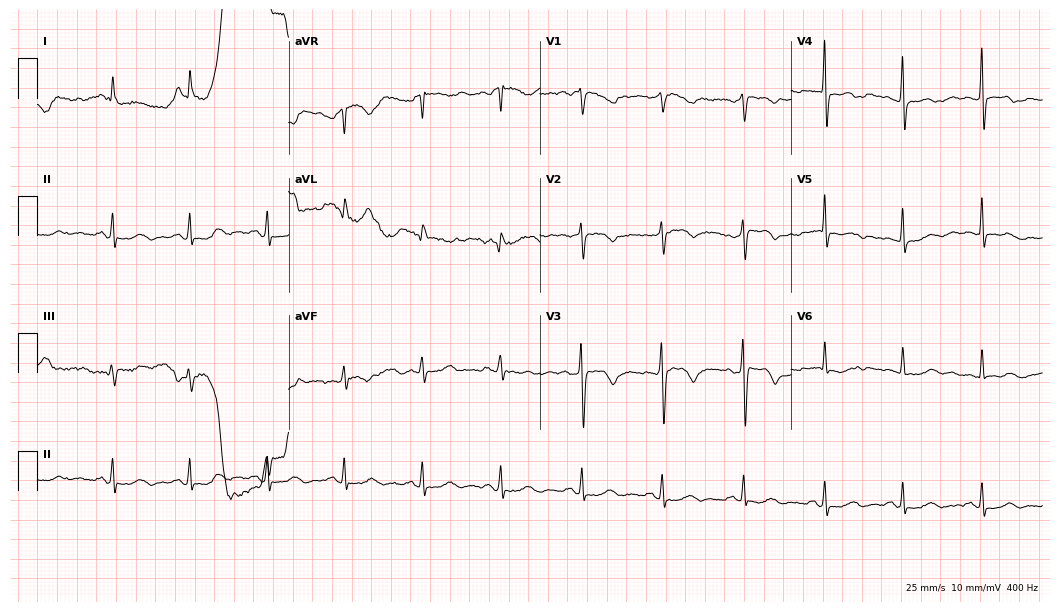
Standard 12-lead ECG recorded from a female patient, 51 years old (10.2-second recording at 400 Hz). None of these six findings is recorded: first-degree AV block, right bundle branch block, left bundle branch block, sinus bradycardia, atrial fibrillation, sinus tachycardia. Other findings, if any, are not listed.